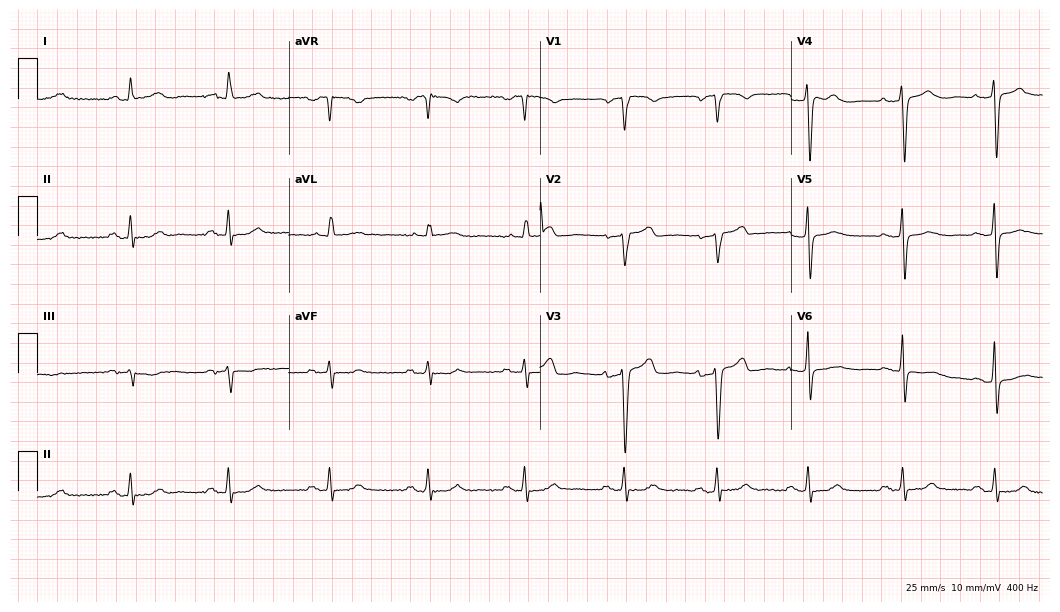
ECG — a woman, 53 years old. Screened for six findings — first-degree AV block, right bundle branch block, left bundle branch block, sinus bradycardia, atrial fibrillation, sinus tachycardia — none is recorded. Findings outside these six are not listed.